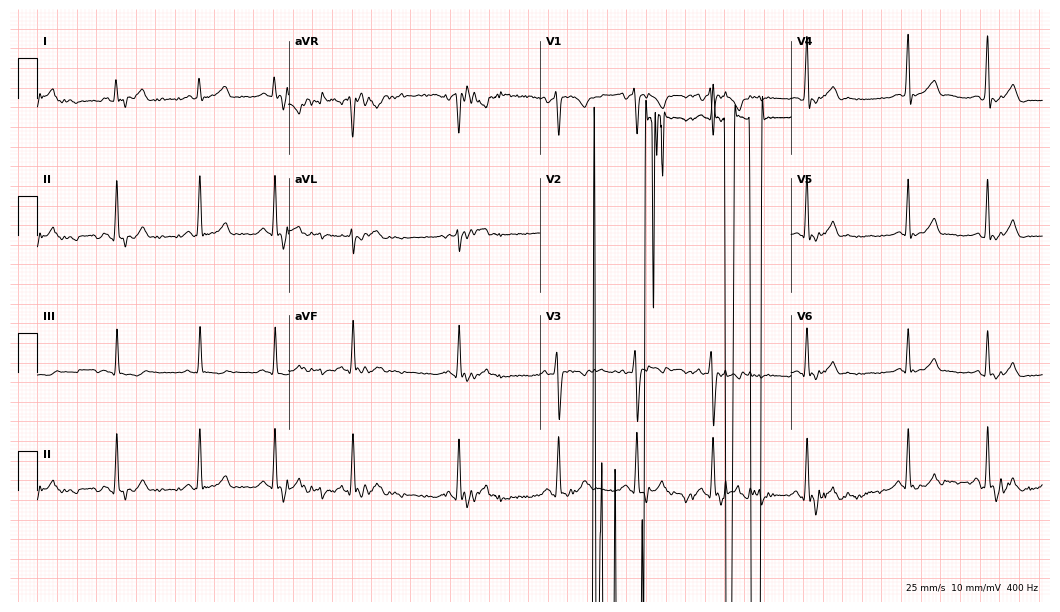
Resting 12-lead electrocardiogram (10.2-second recording at 400 Hz). Patient: a female, 28 years old. None of these six findings is recorded: first-degree AV block, right bundle branch block, left bundle branch block, sinus bradycardia, atrial fibrillation, sinus tachycardia.